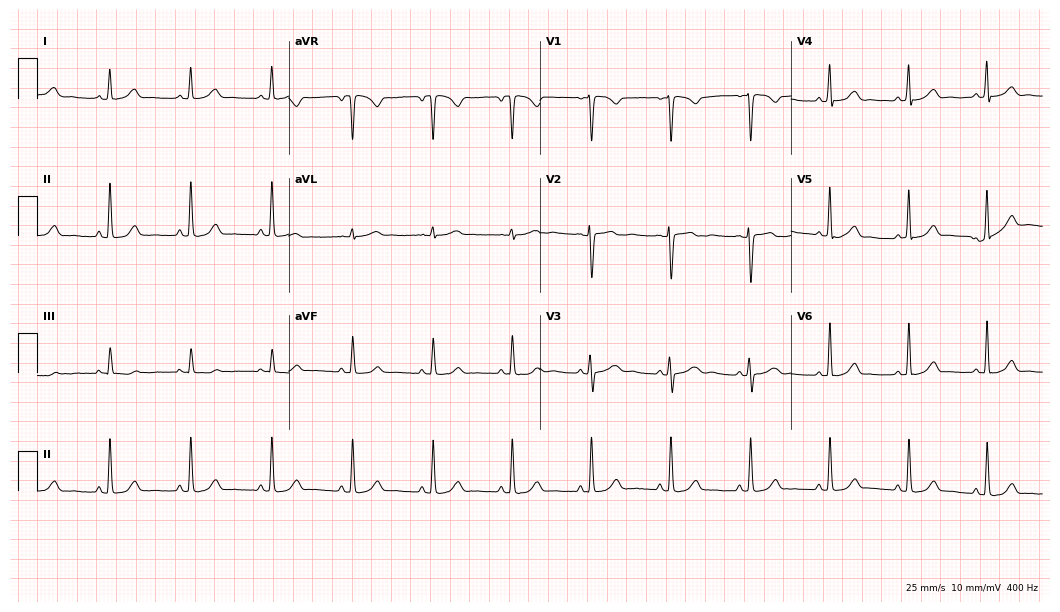
ECG (10.2-second recording at 400 Hz) — a female, 32 years old. Labelled as a normal ECG.